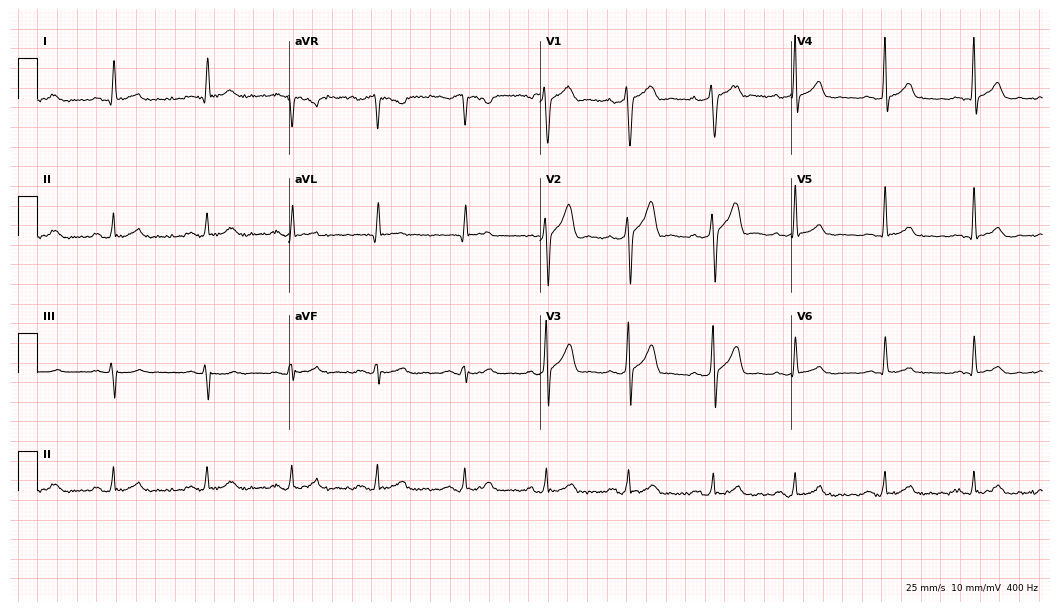
Standard 12-lead ECG recorded from a male, 43 years old (10.2-second recording at 400 Hz). None of these six findings is recorded: first-degree AV block, right bundle branch block, left bundle branch block, sinus bradycardia, atrial fibrillation, sinus tachycardia. Findings outside these six are not listed.